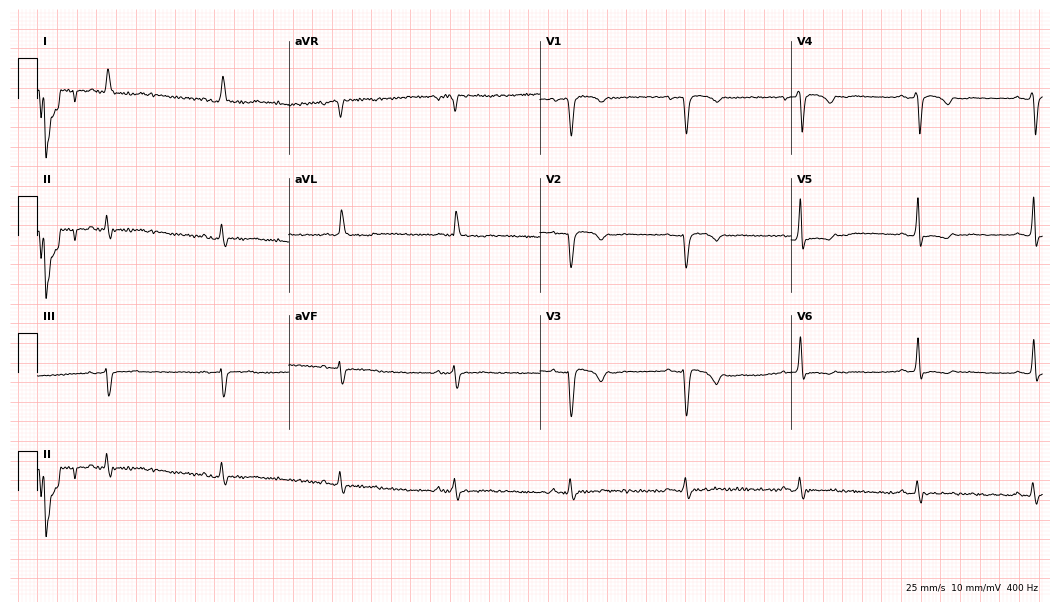
Resting 12-lead electrocardiogram. Patient: a 57-year-old female. None of these six findings is recorded: first-degree AV block, right bundle branch block (RBBB), left bundle branch block (LBBB), sinus bradycardia, atrial fibrillation (AF), sinus tachycardia. Findings outside these six are not listed.